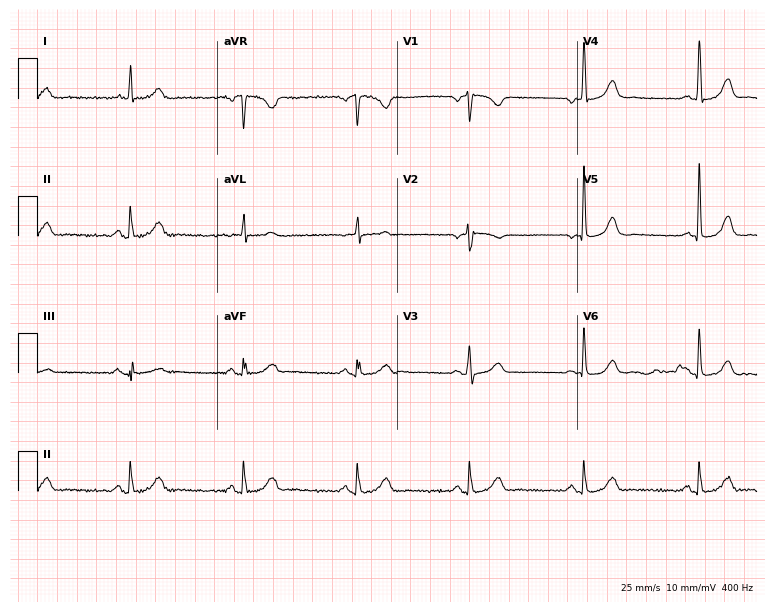
12-lead ECG from a female, 61 years old. Recorded interpretation: within normal limits.